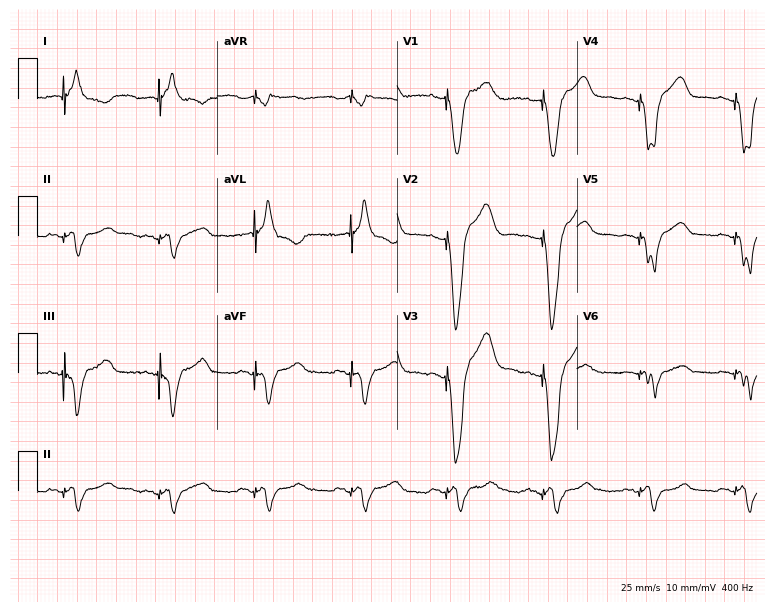
Resting 12-lead electrocardiogram (7.3-second recording at 400 Hz). Patient: a female, 79 years old. None of these six findings is recorded: first-degree AV block, right bundle branch block, left bundle branch block, sinus bradycardia, atrial fibrillation, sinus tachycardia.